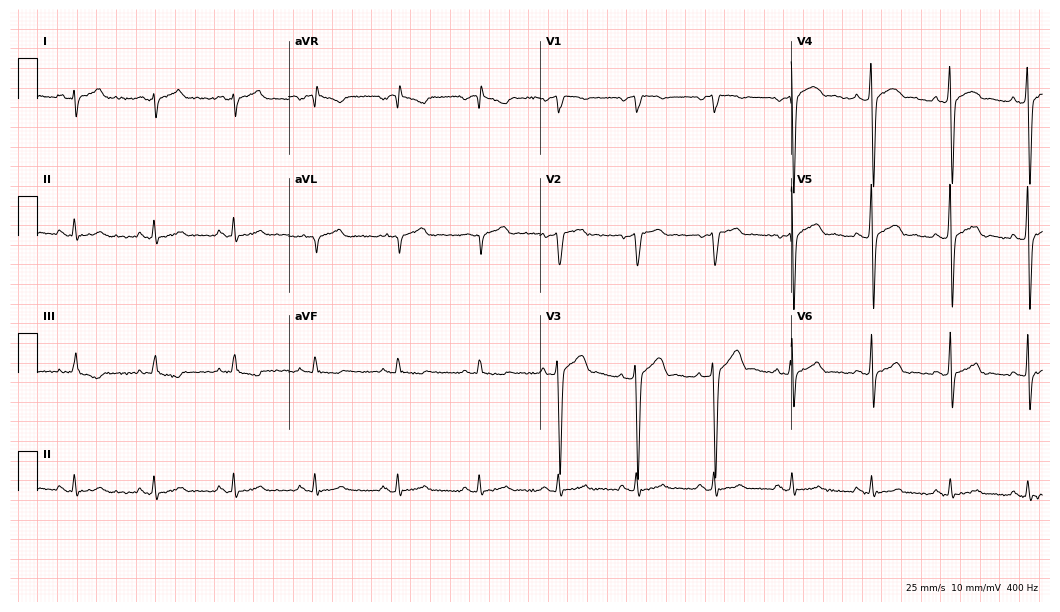
Electrocardiogram, a 33-year-old male patient. Of the six screened findings (first-degree AV block, right bundle branch block, left bundle branch block, sinus bradycardia, atrial fibrillation, sinus tachycardia), none is recorded.